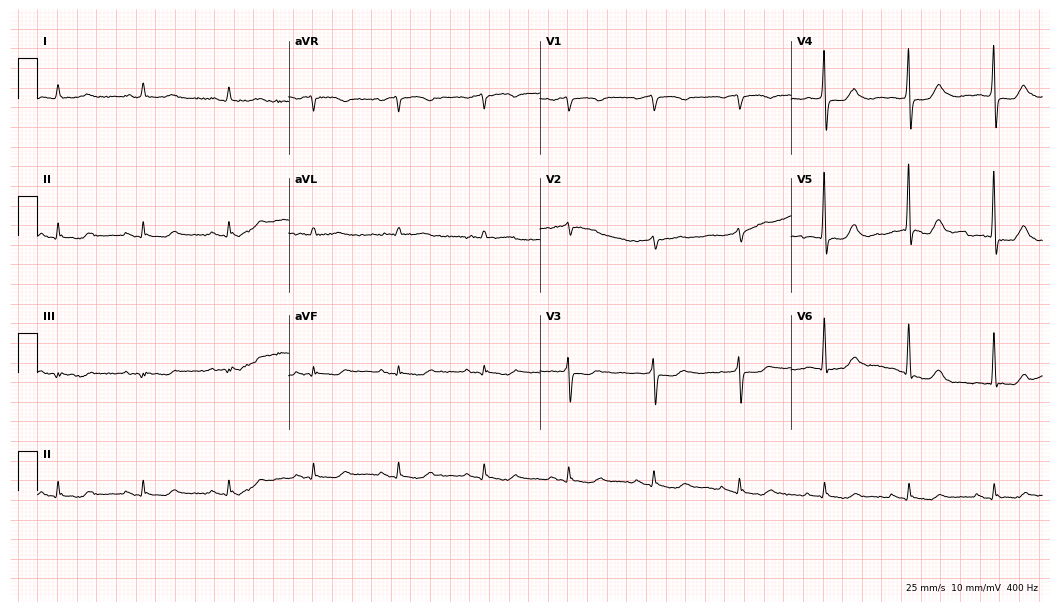
12-lead ECG from a man, 77 years old. No first-degree AV block, right bundle branch block, left bundle branch block, sinus bradycardia, atrial fibrillation or sinus tachycardia recorded for this tracing.